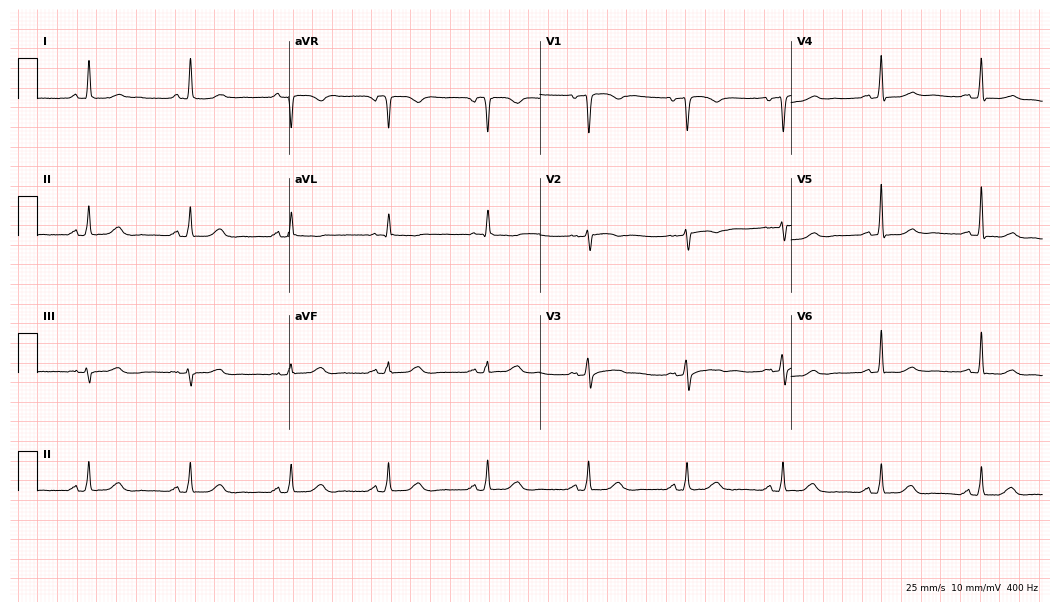
Resting 12-lead electrocardiogram (10.2-second recording at 400 Hz). Patient: a woman, 55 years old. None of these six findings is recorded: first-degree AV block, right bundle branch block, left bundle branch block, sinus bradycardia, atrial fibrillation, sinus tachycardia.